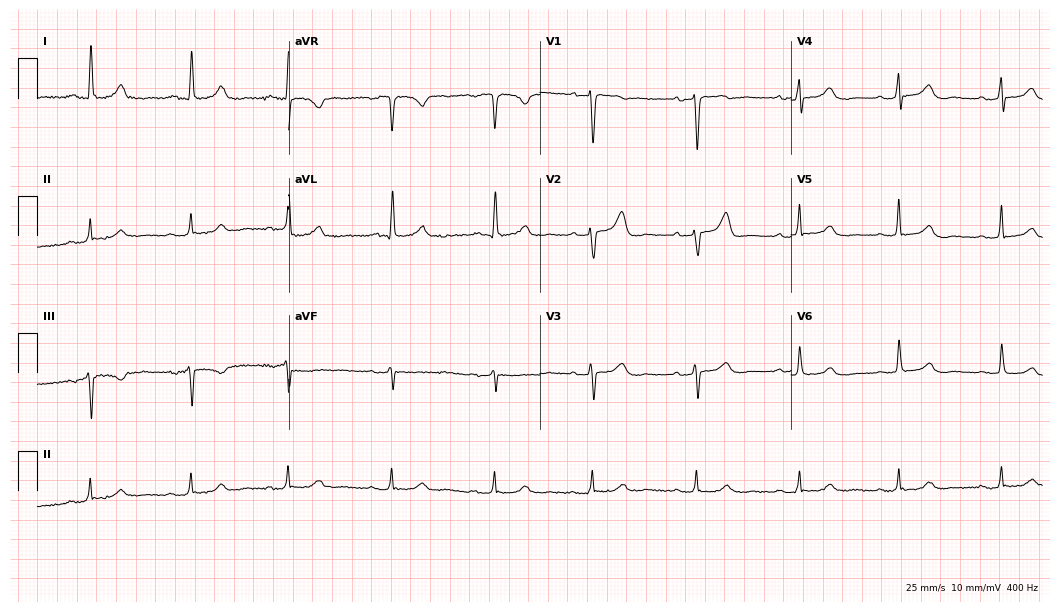
12-lead ECG (10.2-second recording at 400 Hz) from a woman, 67 years old. Labelled as a normal ECG.